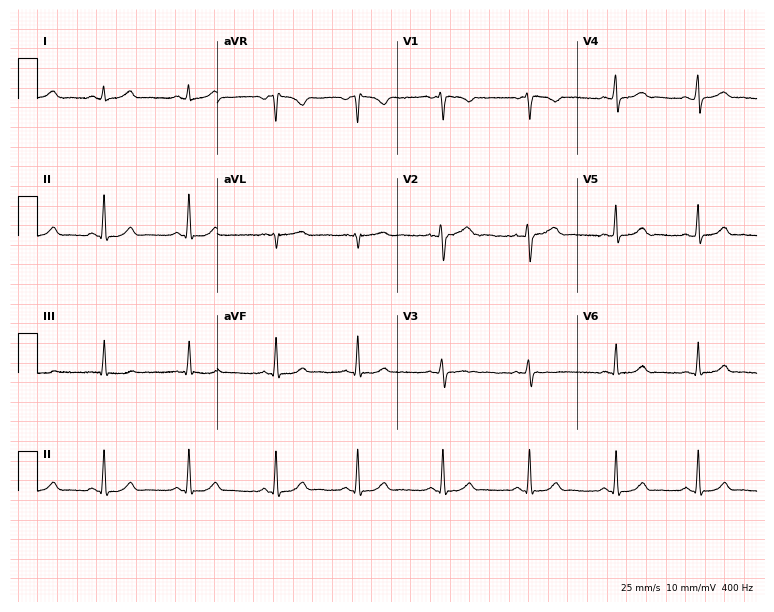
ECG (7.3-second recording at 400 Hz) — a 21-year-old female patient. Labelled as a normal ECG.